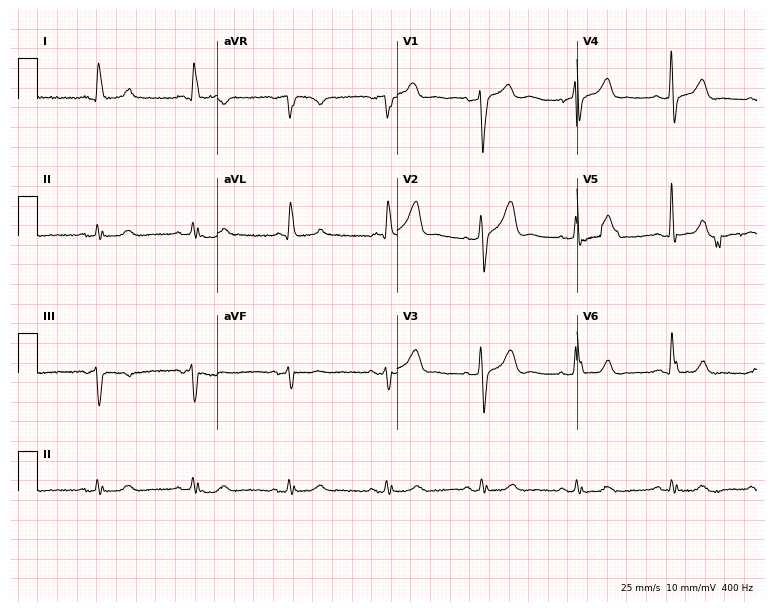
12-lead ECG from an 80-year-old male. No first-degree AV block, right bundle branch block, left bundle branch block, sinus bradycardia, atrial fibrillation or sinus tachycardia recorded for this tracing.